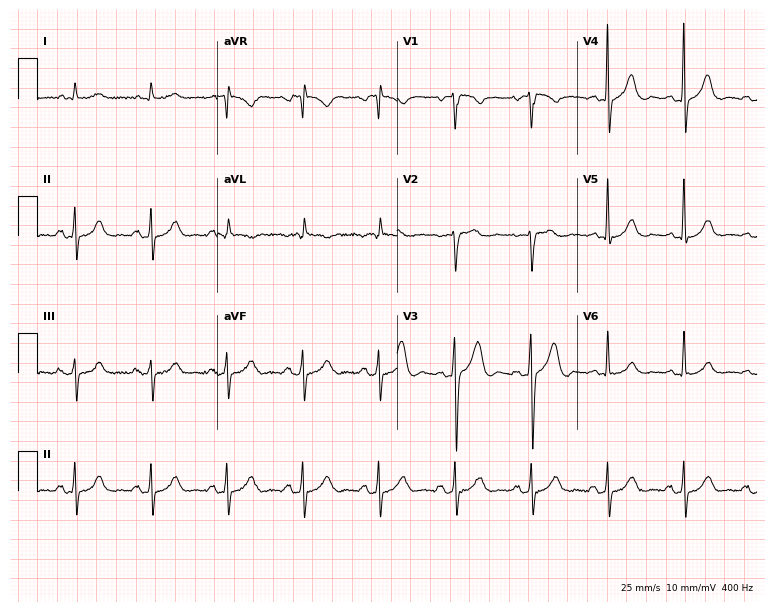
12-lead ECG from a 50-year-old man. Labelled as a normal ECG.